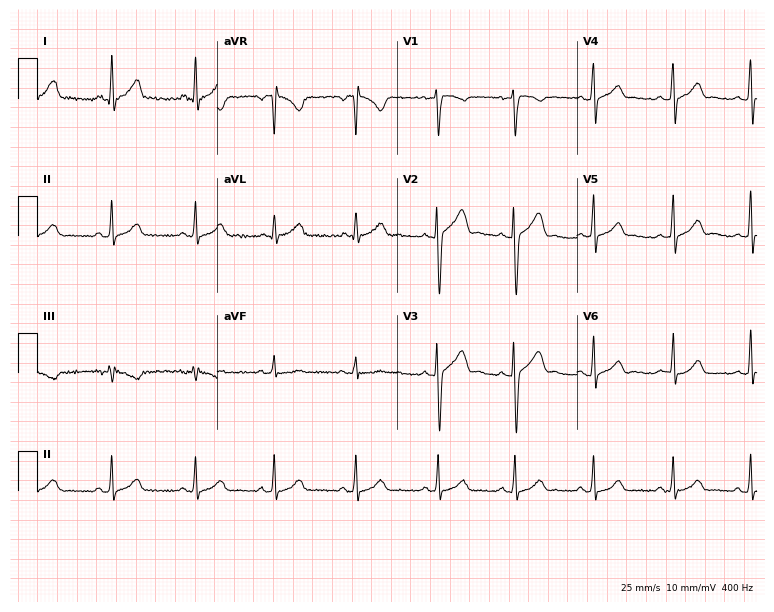
Electrocardiogram, a 26-year-old female patient. Overall reading on record: normal ECG.